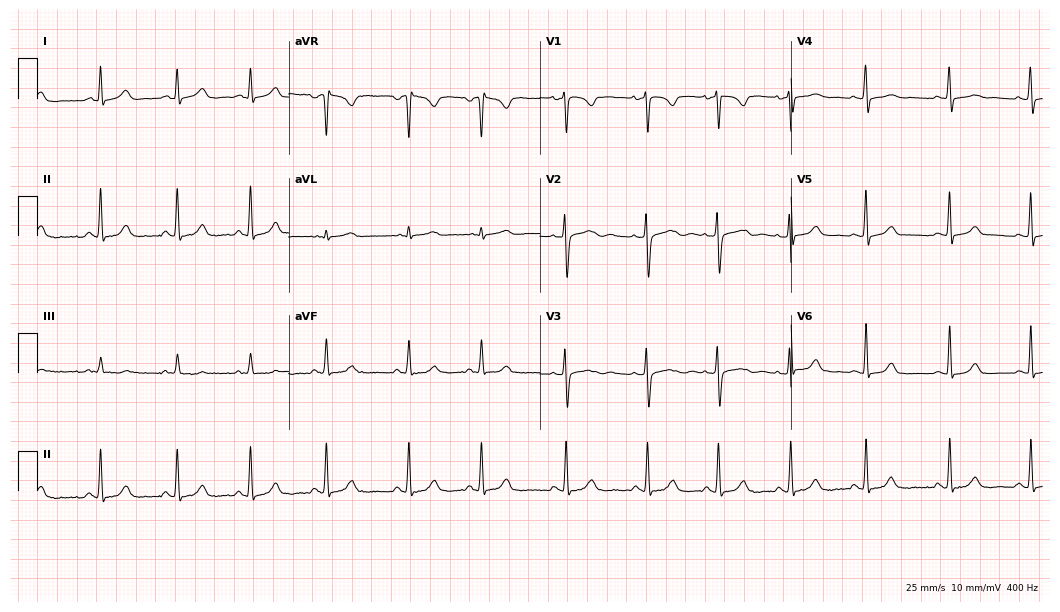
ECG — a female patient, 27 years old. Screened for six findings — first-degree AV block, right bundle branch block, left bundle branch block, sinus bradycardia, atrial fibrillation, sinus tachycardia — none is recorded.